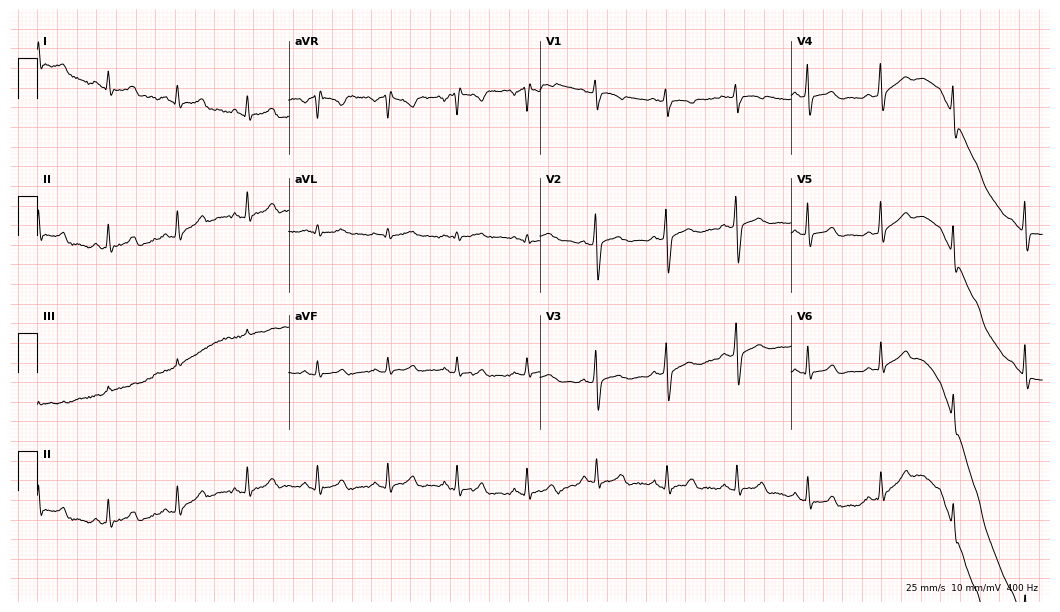
Electrocardiogram (10.2-second recording at 400 Hz), a 57-year-old woman. Overall reading on record: normal ECG.